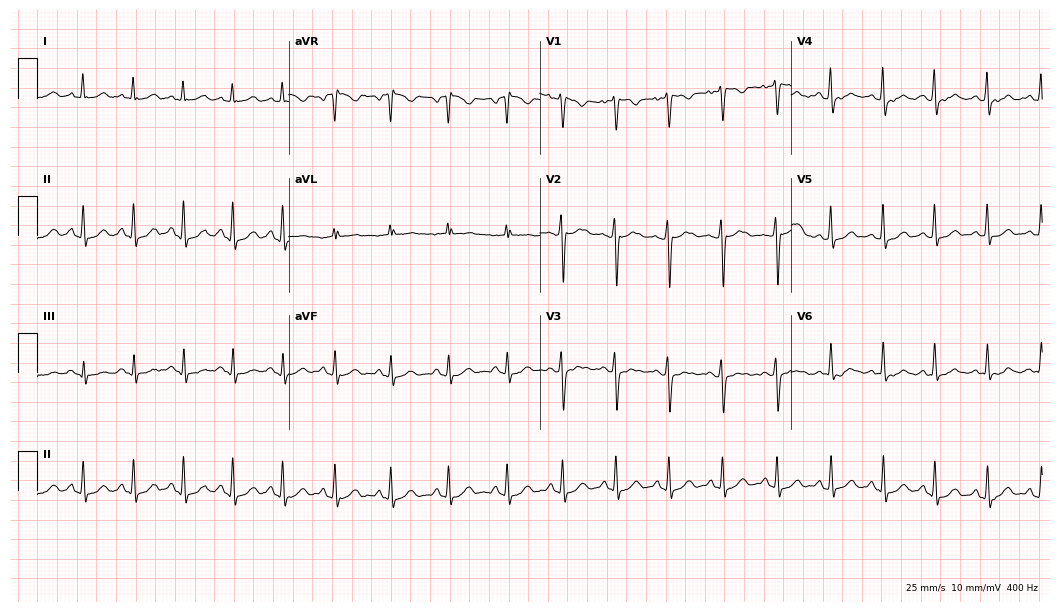
ECG (10.2-second recording at 400 Hz) — a female, 18 years old. Findings include sinus tachycardia (a sinus rate of 100 beats per minute or more).